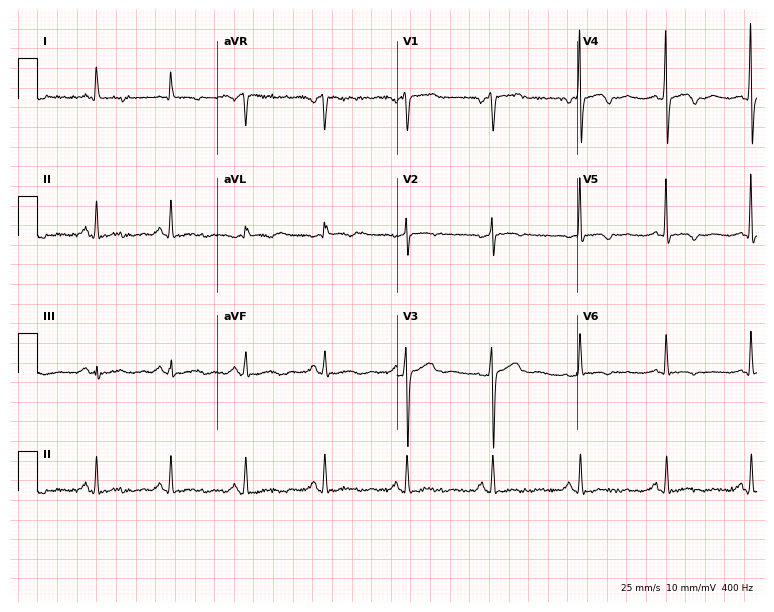
12-lead ECG from a woman, 49 years old. No first-degree AV block, right bundle branch block (RBBB), left bundle branch block (LBBB), sinus bradycardia, atrial fibrillation (AF) or sinus tachycardia recorded for this tracing.